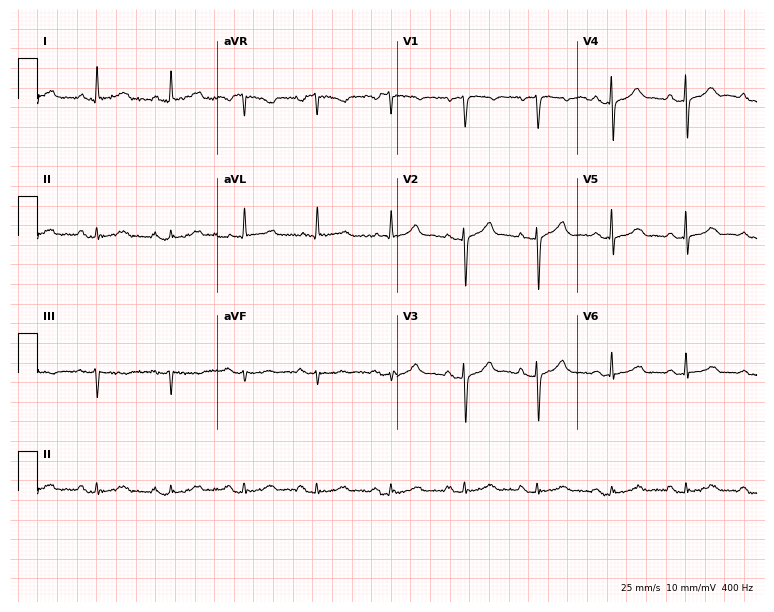
Standard 12-lead ECG recorded from an 80-year-old female (7.3-second recording at 400 Hz). Read as a normal ECG.